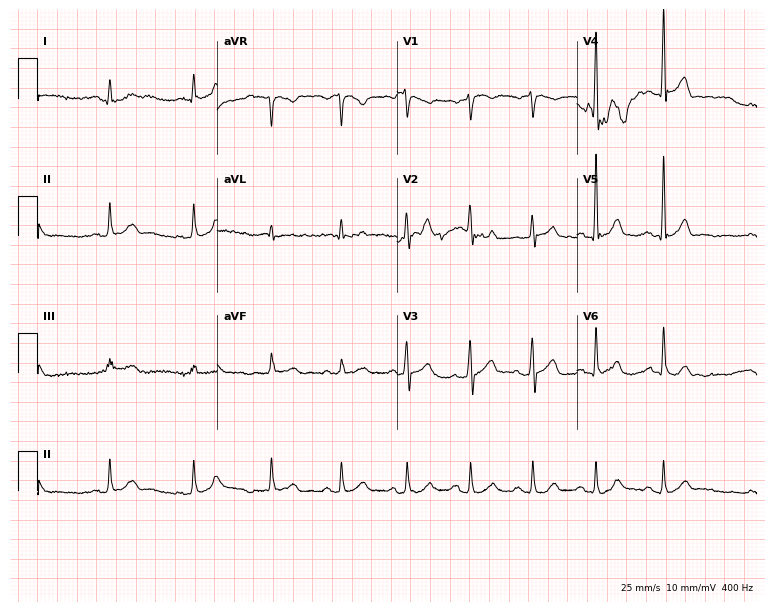
12-lead ECG from a 42-year-old male. Labelled as a normal ECG.